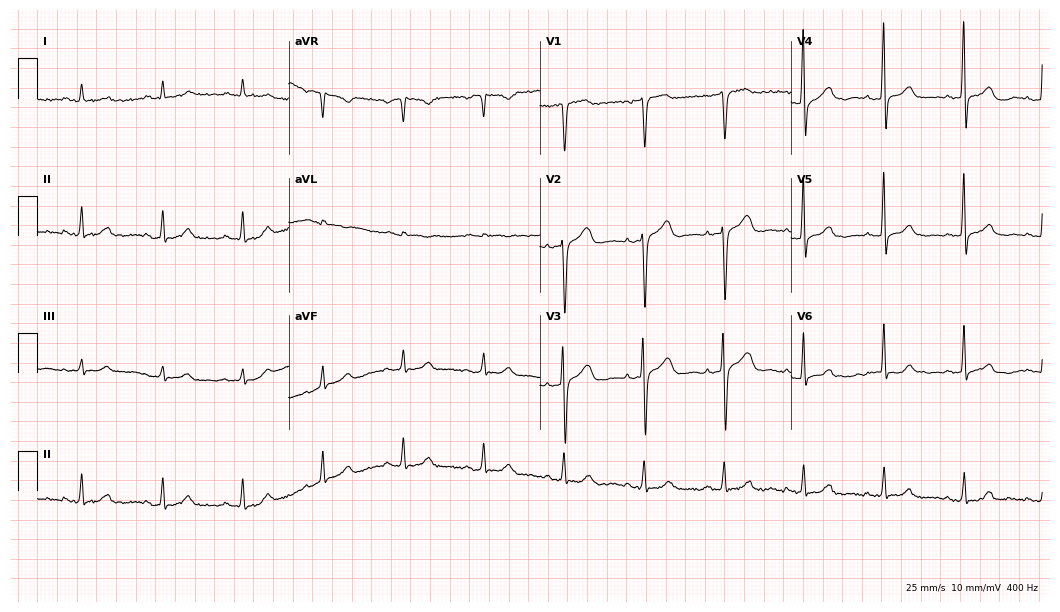
ECG (10.2-second recording at 400 Hz) — a 77-year-old man. Labelled as a normal ECG.